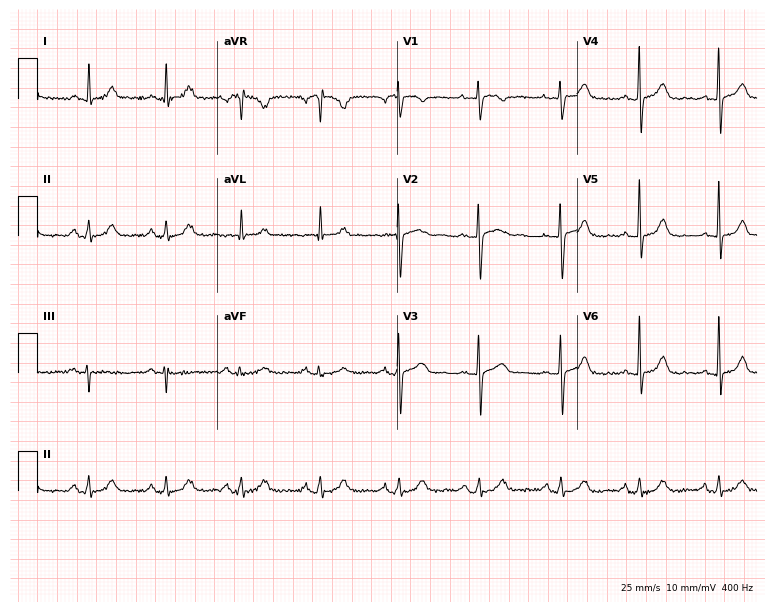
Standard 12-lead ECG recorded from a 56-year-old woman. Read as a normal ECG.